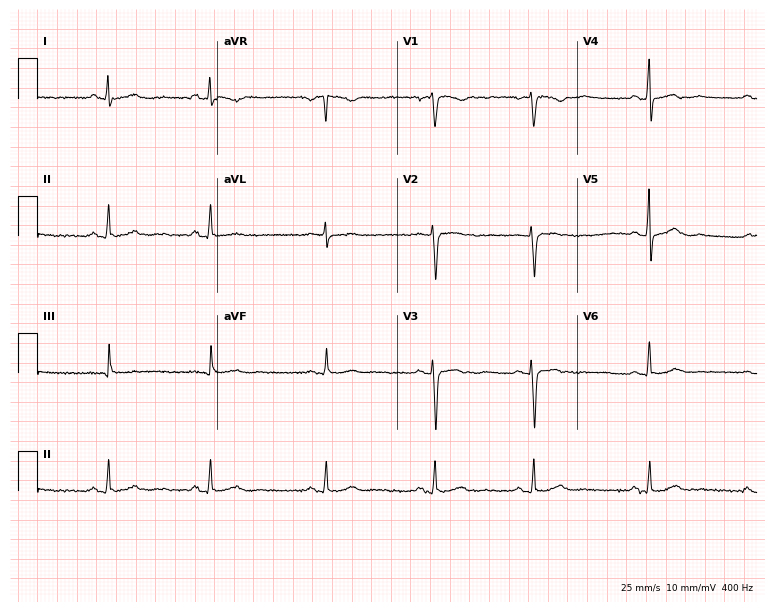
12-lead ECG from a 53-year-old female patient (7.3-second recording at 400 Hz). No first-degree AV block, right bundle branch block, left bundle branch block, sinus bradycardia, atrial fibrillation or sinus tachycardia recorded for this tracing.